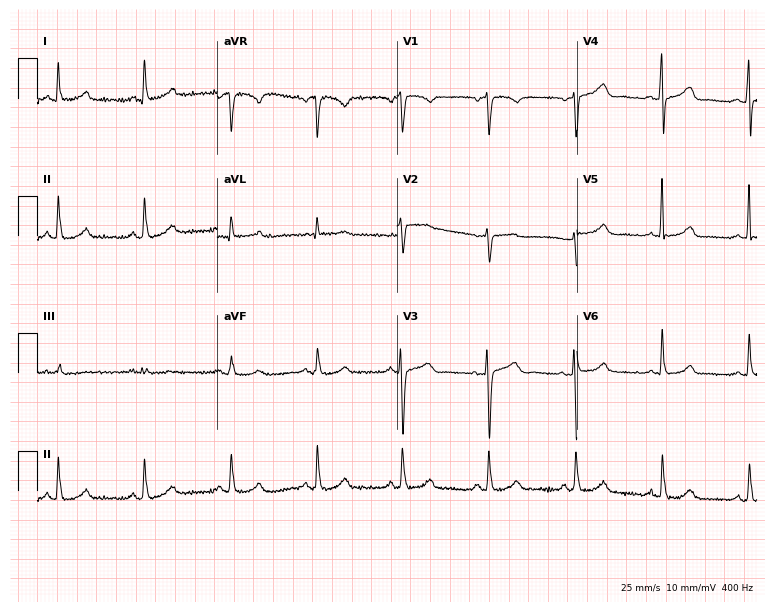
Standard 12-lead ECG recorded from a 67-year-old female patient. None of these six findings is recorded: first-degree AV block, right bundle branch block (RBBB), left bundle branch block (LBBB), sinus bradycardia, atrial fibrillation (AF), sinus tachycardia.